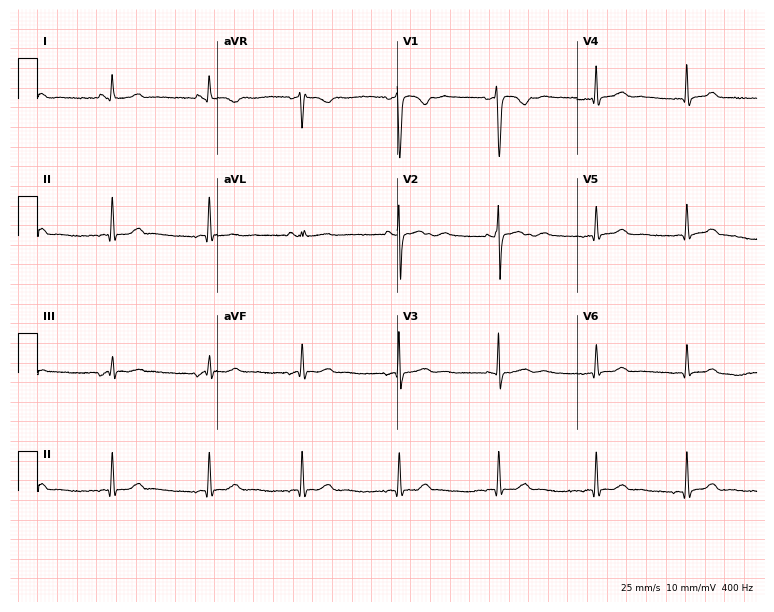
12-lead ECG (7.3-second recording at 400 Hz) from a 21-year-old female patient. Screened for six findings — first-degree AV block, right bundle branch block, left bundle branch block, sinus bradycardia, atrial fibrillation, sinus tachycardia — none is recorded.